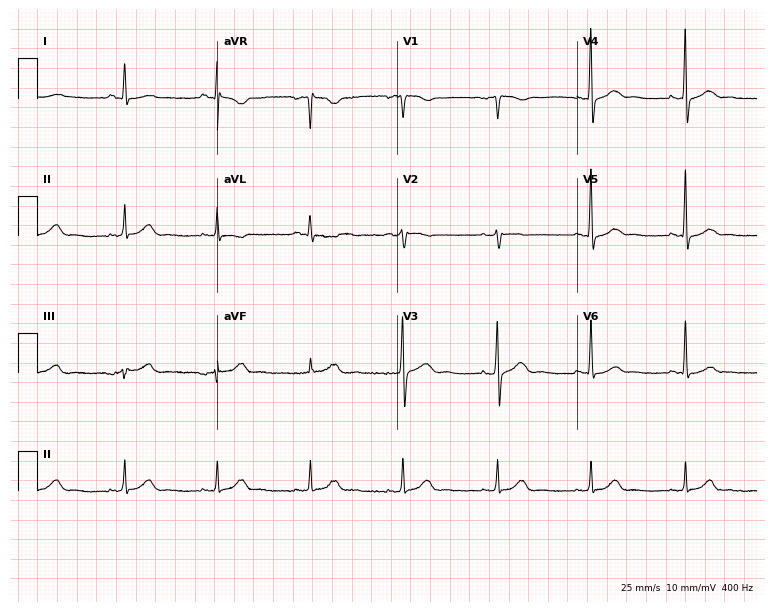
ECG (7.3-second recording at 400 Hz) — a man, 81 years old. Labelled as a normal ECG.